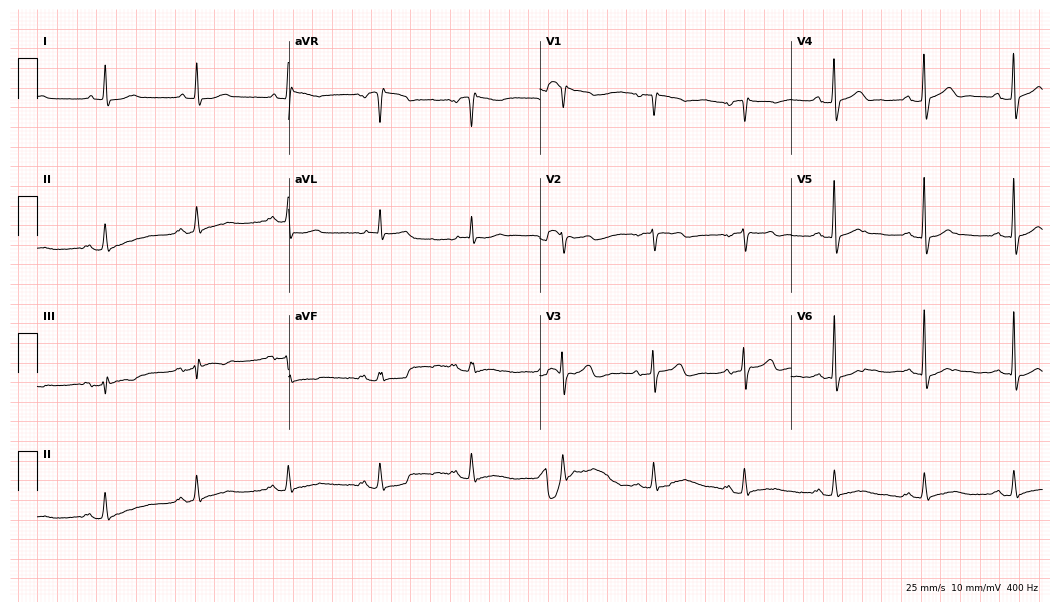
Electrocardiogram (10.2-second recording at 400 Hz), a man, 85 years old. Of the six screened findings (first-degree AV block, right bundle branch block, left bundle branch block, sinus bradycardia, atrial fibrillation, sinus tachycardia), none is recorded. Only these six findings were labelled.